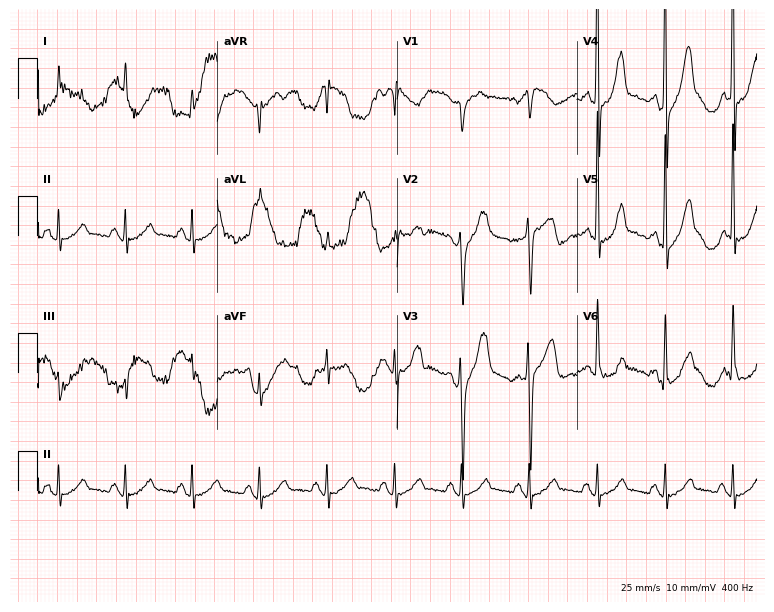
12-lead ECG from a man, 56 years old. No first-degree AV block, right bundle branch block, left bundle branch block, sinus bradycardia, atrial fibrillation or sinus tachycardia recorded for this tracing. Only these six findings were labelled.